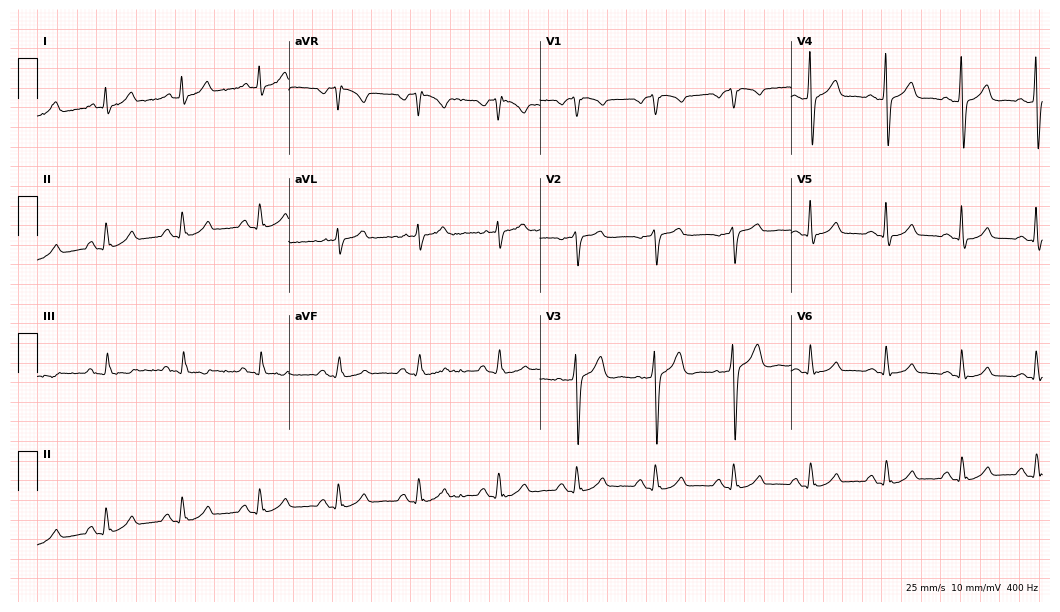
Standard 12-lead ECG recorded from a 38-year-old male patient. None of these six findings is recorded: first-degree AV block, right bundle branch block (RBBB), left bundle branch block (LBBB), sinus bradycardia, atrial fibrillation (AF), sinus tachycardia.